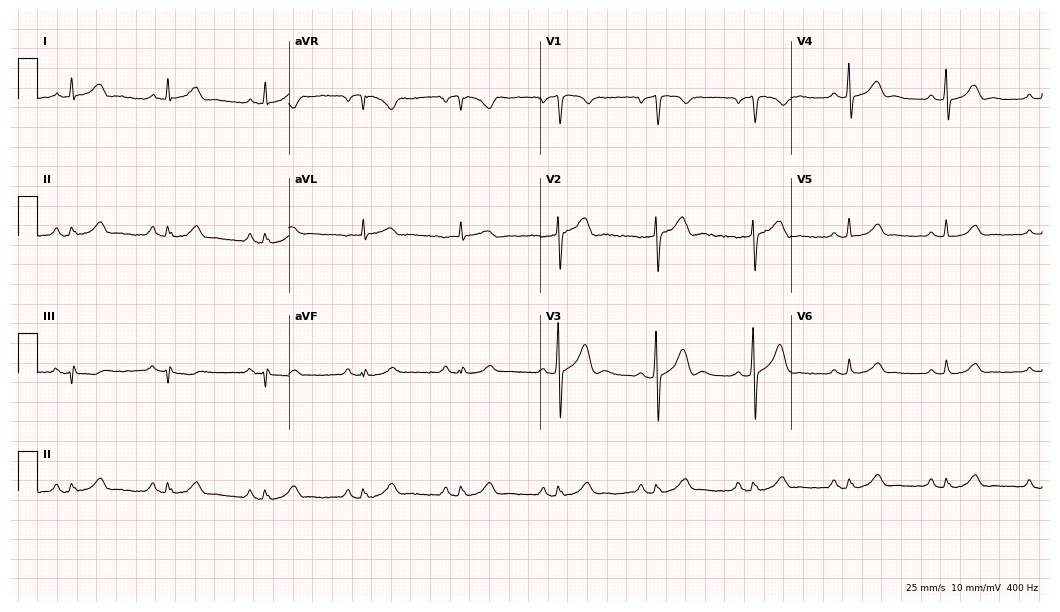
ECG (10.2-second recording at 400 Hz) — a male, 70 years old. Labelled as a normal ECG.